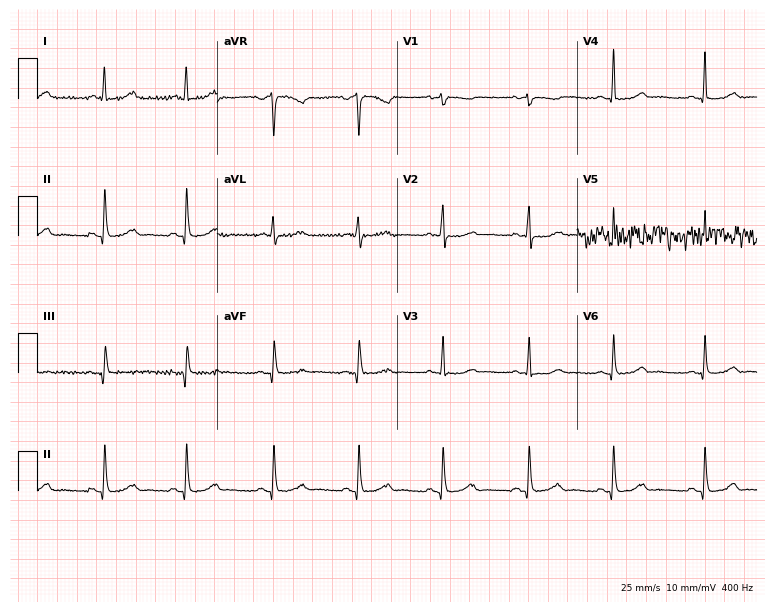
Standard 12-lead ECG recorded from a 64-year-old female. Read as a normal ECG.